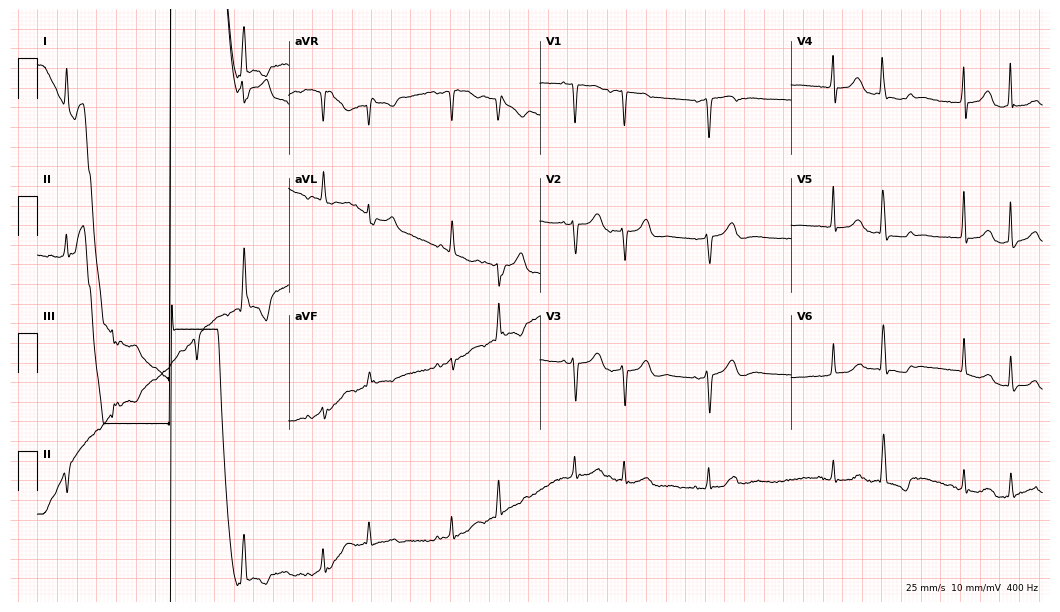
Electrocardiogram (10.2-second recording at 400 Hz), an 84-year-old female. Of the six screened findings (first-degree AV block, right bundle branch block, left bundle branch block, sinus bradycardia, atrial fibrillation, sinus tachycardia), none is recorded. Only these six findings were labelled.